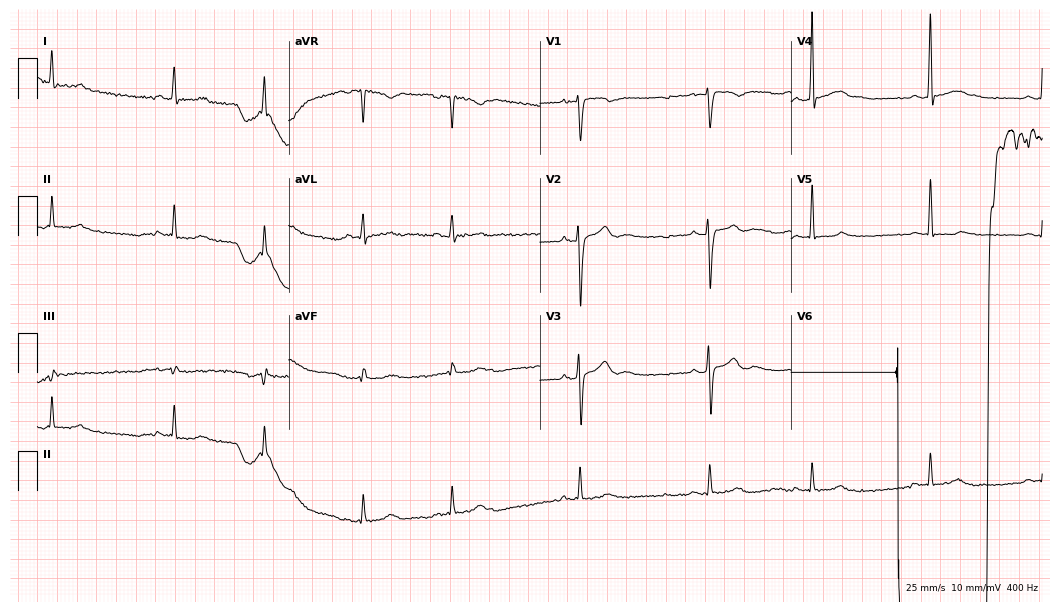
ECG — a 19-year-old man. Screened for six findings — first-degree AV block, right bundle branch block (RBBB), left bundle branch block (LBBB), sinus bradycardia, atrial fibrillation (AF), sinus tachycardia — none is recorded.